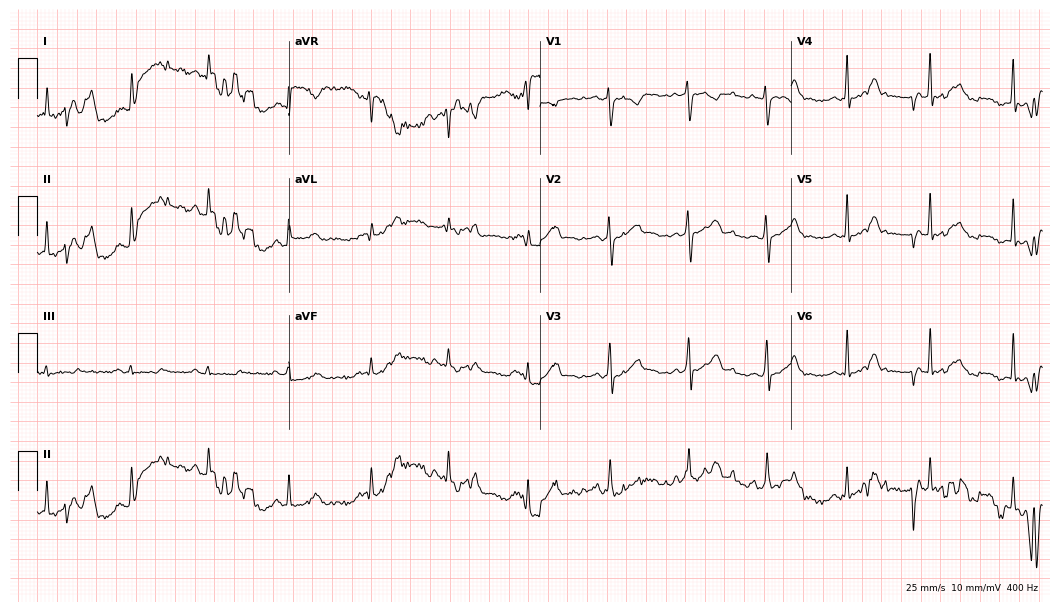
Standard 12-lead ECG recorded from a woman, 21 years old. Read as a normal ECG.